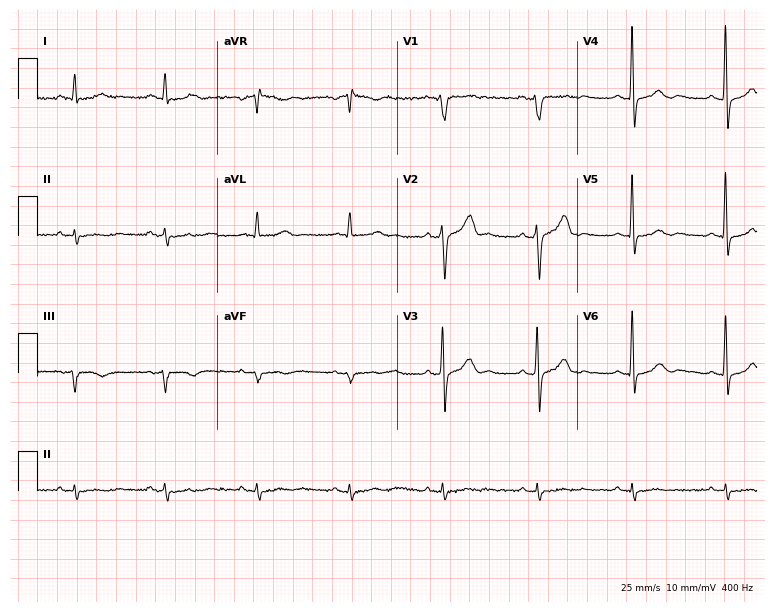
Resting 12-lead electrocardiogram (7.3-second recording at 400 Hz). Patient: a man, 53 years old. None of these six findings is recorded: first-degree AV block, right bundle branch block (RBBB), left bundle branch block (LBBB), sinus bradycardia, atrial fibrillation (AF), sinus tachycardia.